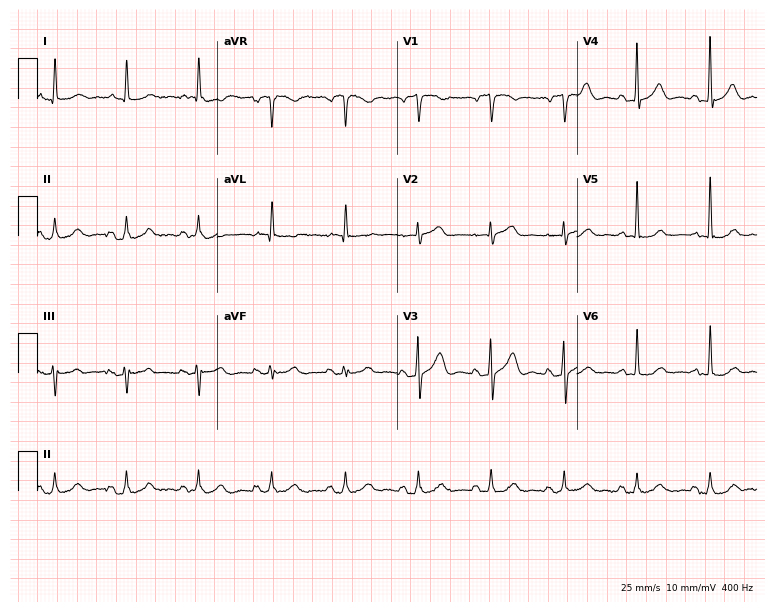
12-lead ECG from a male, 78 years old. Labelled as a normal ECG.